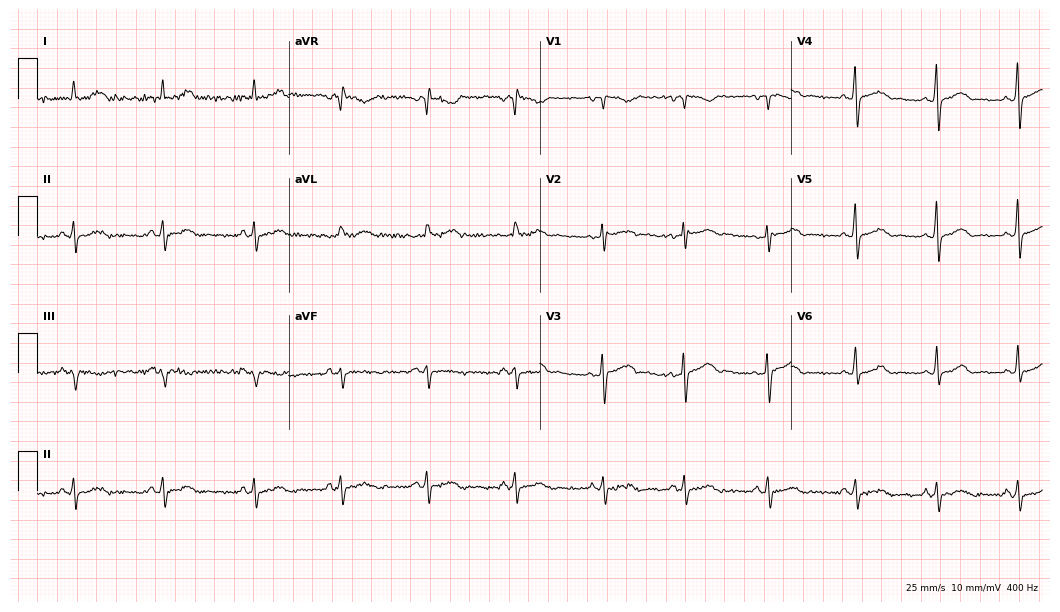
12-lead ECG (10.2-second recording at 400 Hz) from a 27-year-old woman. Screened for six findings — first-degree AV block, right bundle branch block, left bundle branch block, sinus bradycardia, atrial fibrillation, sinus tachycardia — none is recorded. Other findings, if any, are not listed.